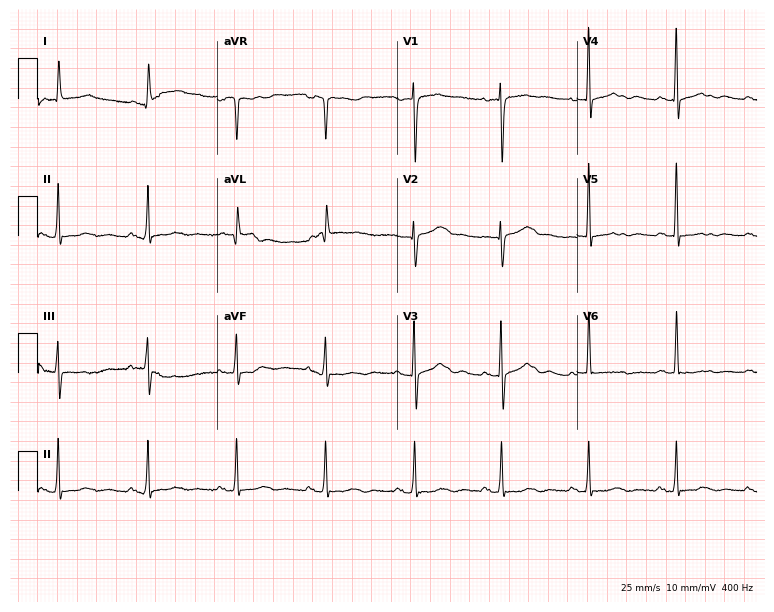
12-lead ECG from an 80-year-old woman. No first-degree AV block, right bundle branch block, left bundle branch block, sinus bradycardia, atrial fibrillation or sinus tachycardia recorded for this tracing.